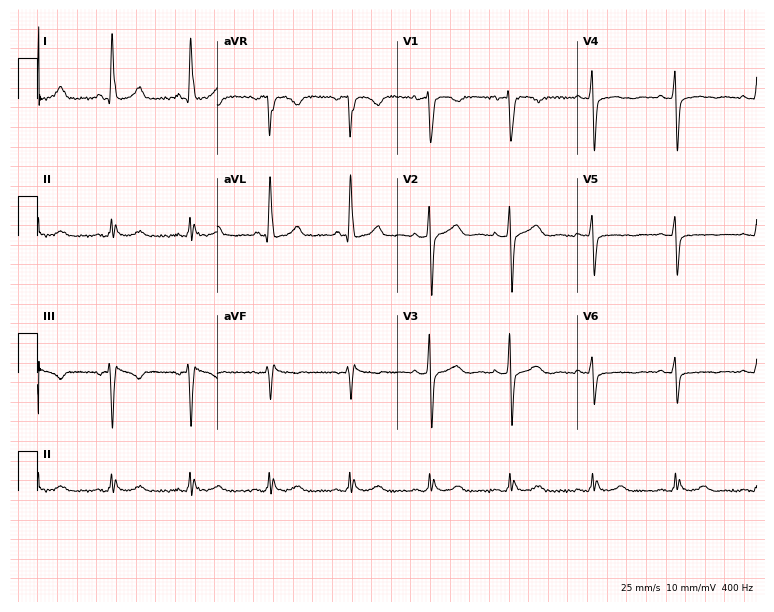
Electrocardiogram, a 72-year-old female patient. Of the six screened findings (first-degree AV block, right bundle branch block, left bundle branch block, sinus bradycardia, atrial fibrillation, sinus tachycardia), none is recorded.